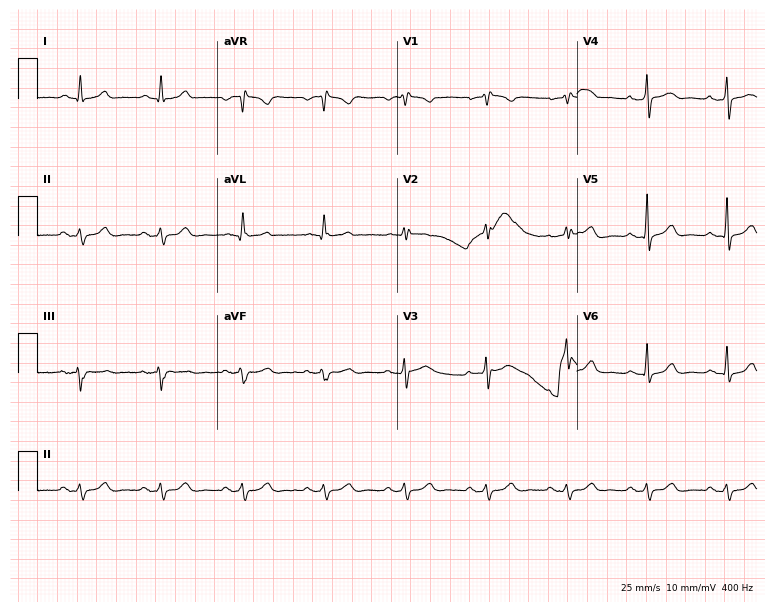
Resting 12-lead electrocardiogram (7.3-second recording at 400 Hz). Patient: a 60-year-old male. None of these six findings is recorded: first-degree AV block, right bundle branch block, left bundle branch block, sinus bradycardia, atrial fibrillation, sinus tachycardia. Only these six findings were labelled.